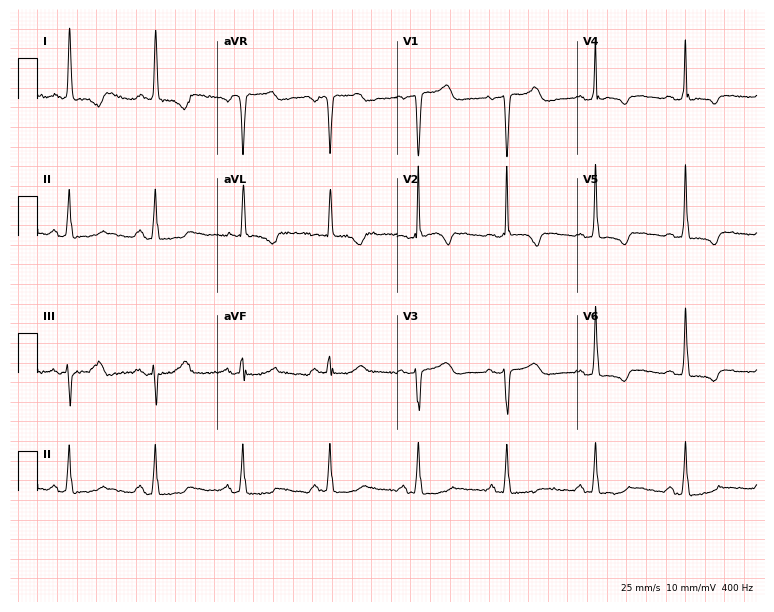
Standard 12-lead ECG recorded from a woman, 80 years old. None of these six findings is recorded: first-degree AV block, right bundle branch block (RBBB), left bundle branch block (LBBB), sinus bradycardia, atrial fibrillation (AF), sinus tachycardia. Only these six findings were labelled.